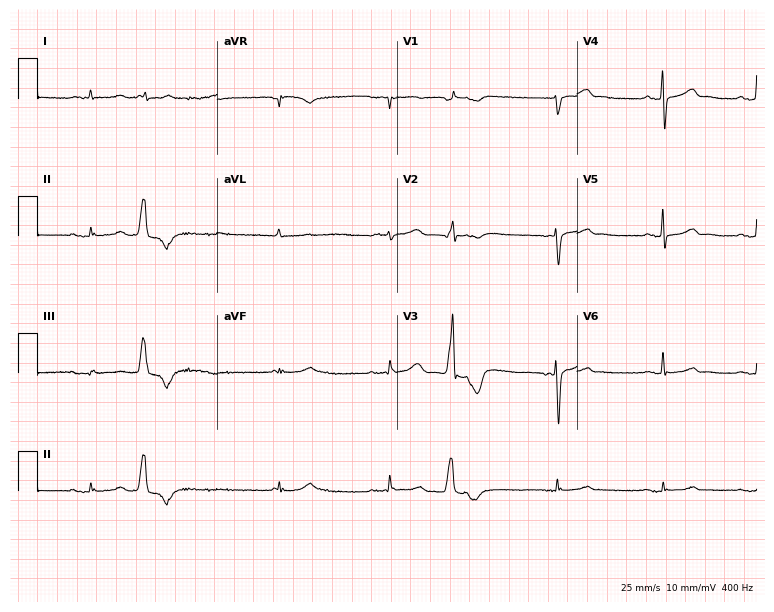
12-lead ECG (7.3-second recording at 400 Hz) from a 74-year-old man. Findings include atrial fibrillation.